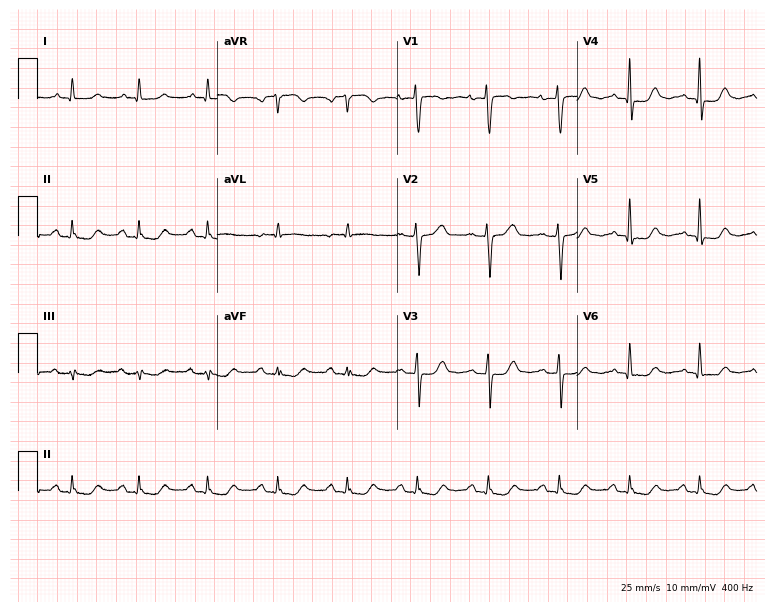
ECG (7.3-second recording at 400 Hz) — a woman, 62 years old. Screened for six findings — first-degree AV block, right bundle branch block, left bundle branch block, sinus bradycardia, atrial fibrillation, sinus tachycardia — none is recorded. Only these six findings were labelled.